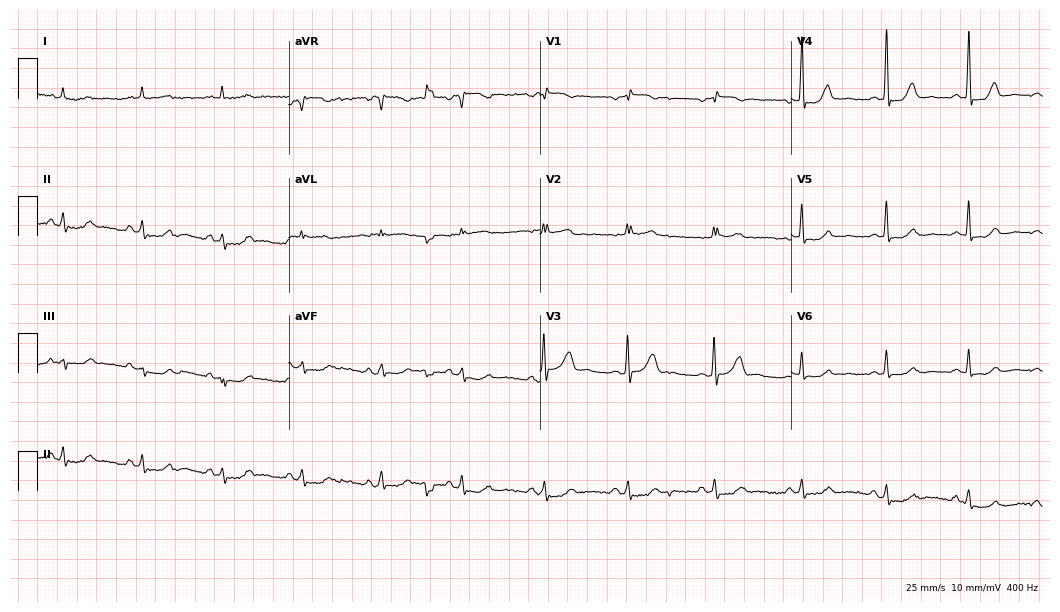
12-lead ECG from a woman, 53 years old. Recorded interpretation: within normal limits.